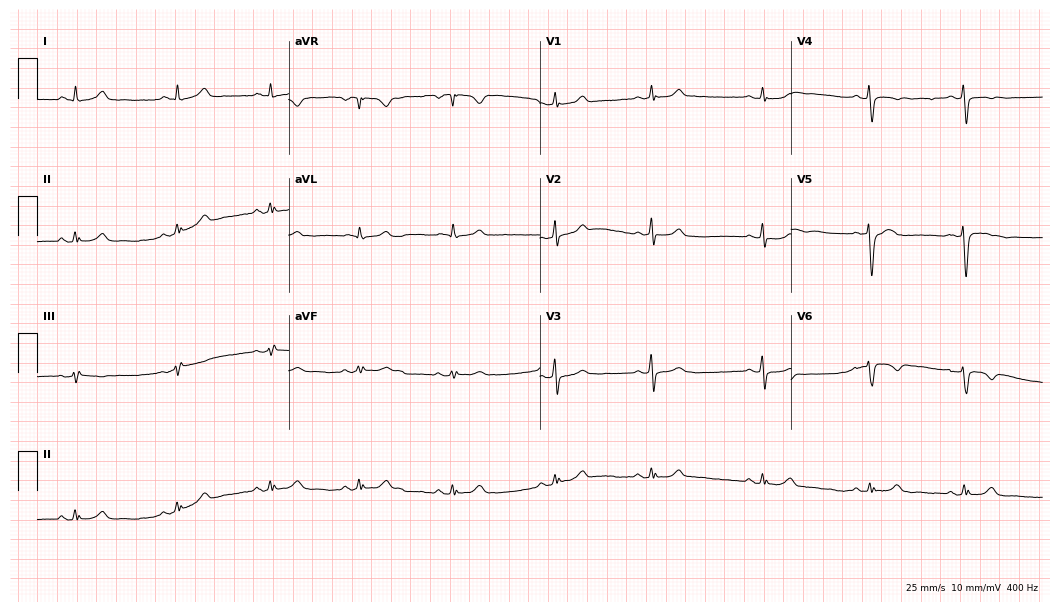
ECG — a 46-year-old female patient. Screened for six findings — first-degree AV block, right bundle branch block (RBBB), left bundle branch block (LBBB), sinus bradycardia, atrial fibrillation (AF), sinus tachycardia — none is recorded. Other findings, if any, are not listed.